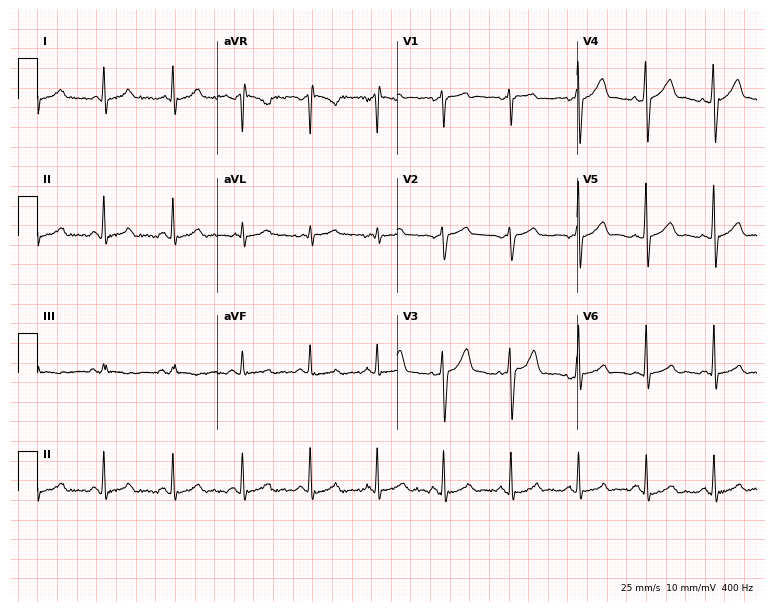
Electrocardiogram (7.3-second recording at 400 Hz), a man, 48 years old. Overall reading on record: normal ECG.